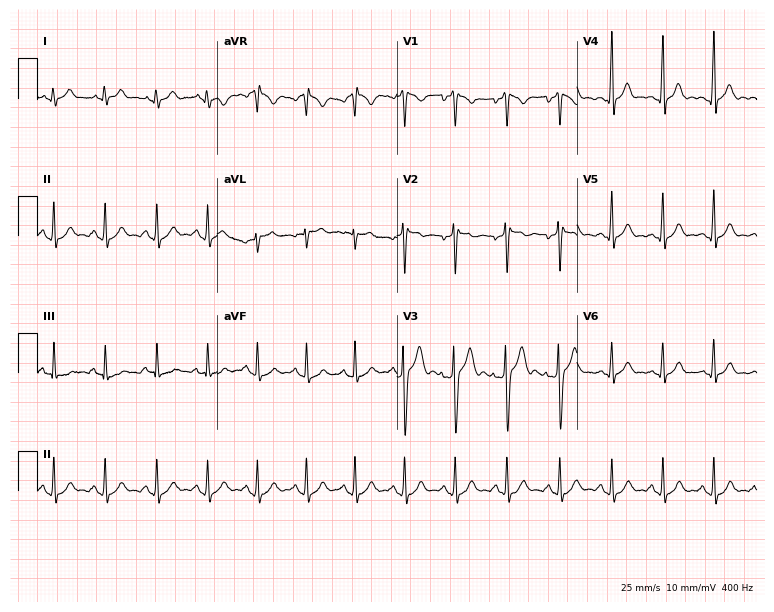
Electrocardiogram (7.3-second recording at 400 Hz), a 30-year-old male. Of the six screened findings (first-degree AV block, right bundle branch block, left bundle branch block, sinus bradycardia, atrial fibrillation, sinus tachycardia), none is recorded.